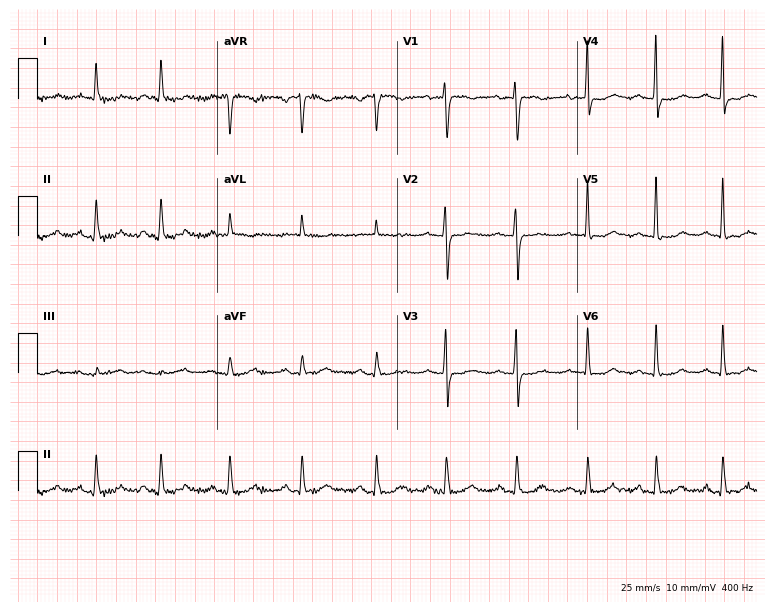
12-lead ECG (7.3-second recording at 400 Hz) from a 71-year-old female. Screened for six findings — first-degree AV block, right bundle branch block (RBBB), left bundle branch block (LBBB), sinus bradycardia, atrial fibrillation (AF), sinus tachycardia — none is recorded.